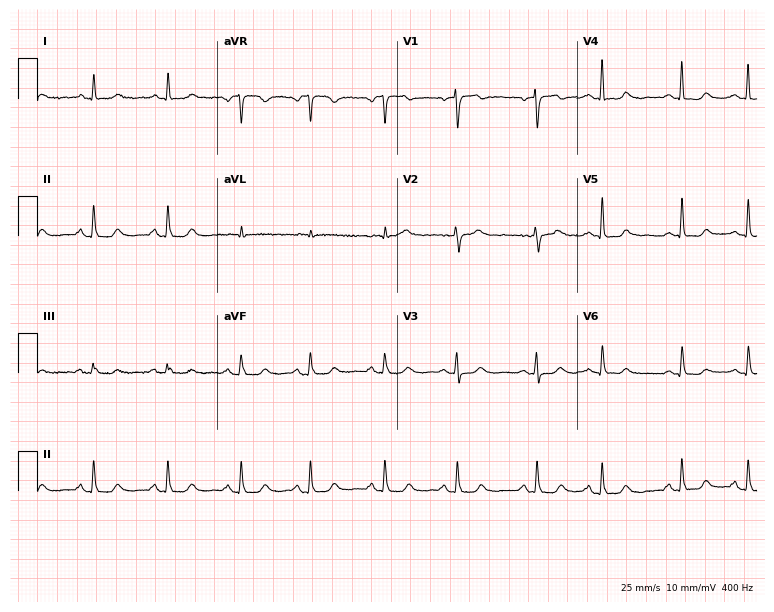
12-lead ECG (7.3-second recording at 400 Hz) from a 54-year-old woman. Screened for six findings — first-degree AV block, right bundle branch block, left bundle branch block, sinus bradycardia, atrial fibrillation, sinus tachycardia — none is recorded.